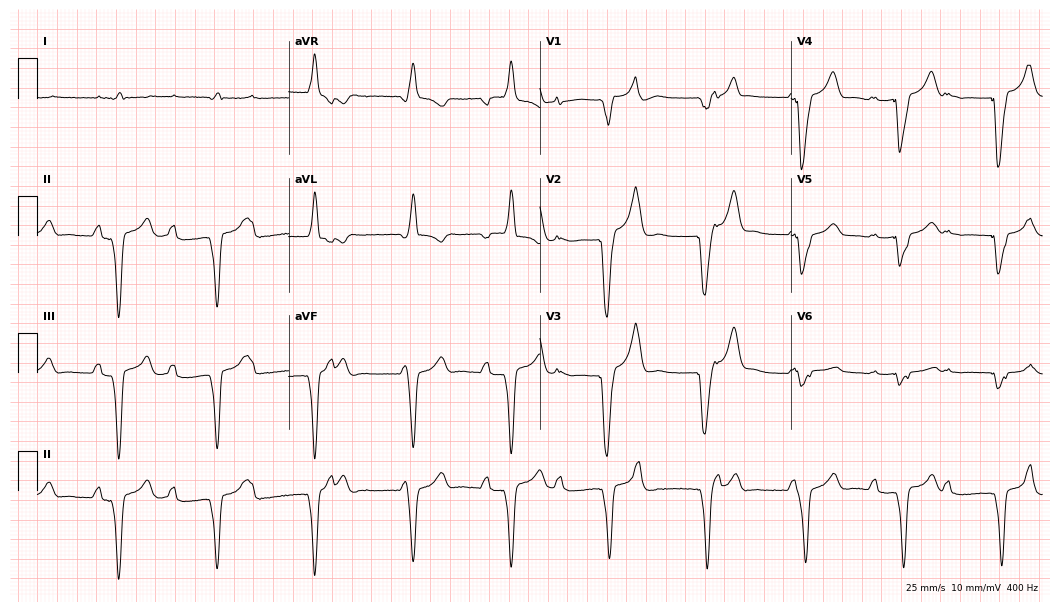
Electrocardiogram, a male, 76 years old. Of the six screened findings (first-degree AV block, right bundle branch block, left bundle branch block, sinus bradycardia, atrial fibrillation, sinus tachycardia), none is recorded.